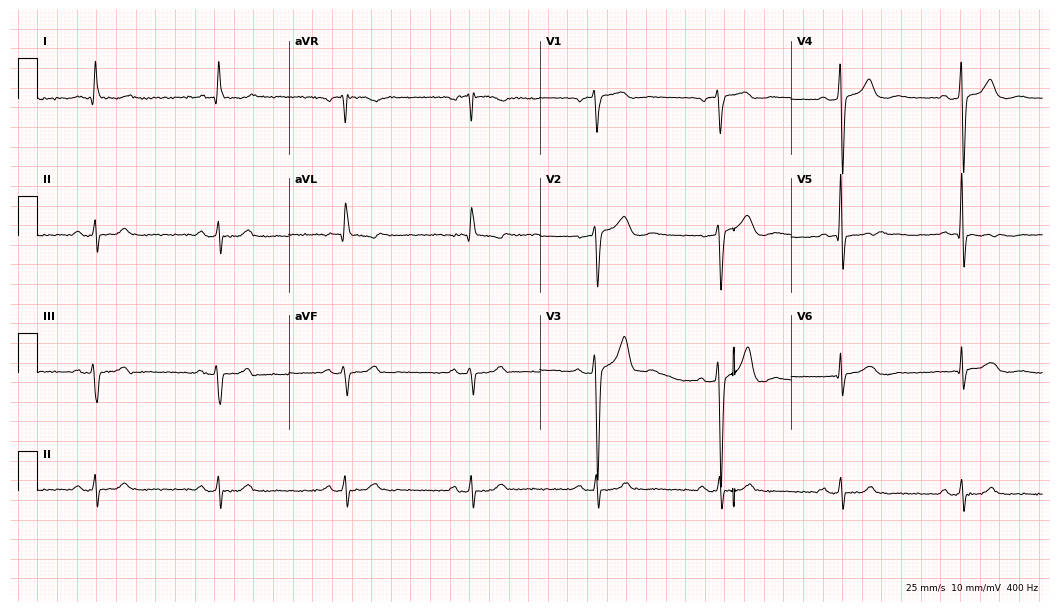
ECG — a 65-year-old male patient. Screened for six findings — first-degree AV block, right bundle branch block, left bundle branch block, sinus bradycardia, atrial fibrillation, sinus tachycardia — none is recorded.